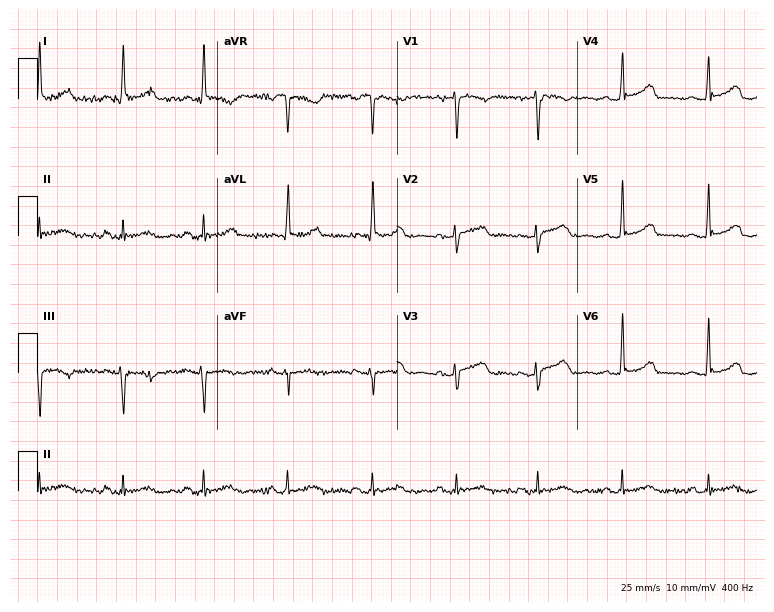
12-lead ECG (7.3-second recording at 400 Hz) from a woman, 36 years old. Screened for six findings — first-degree AV block, right bundle branch block (RBBB), left bundle branch block (LBBB), sinus bradycardia, atrial fibrillation (AF), sinus tachycardia — none is recorded. Other findings, if any, are not listed.